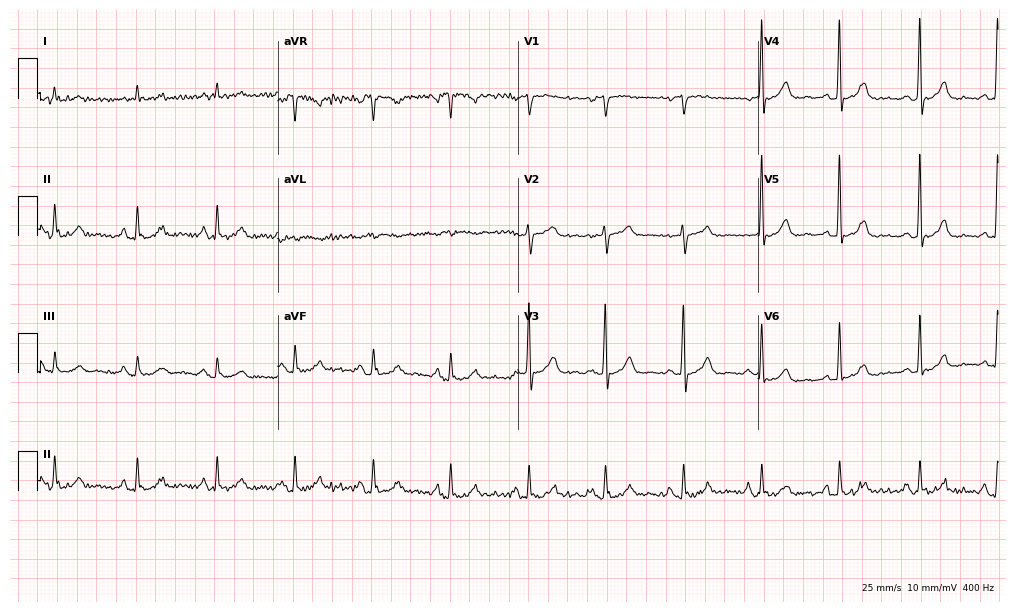
Electrocardiogram, a female, 64 years old. Overall reading on record: normal ECG.